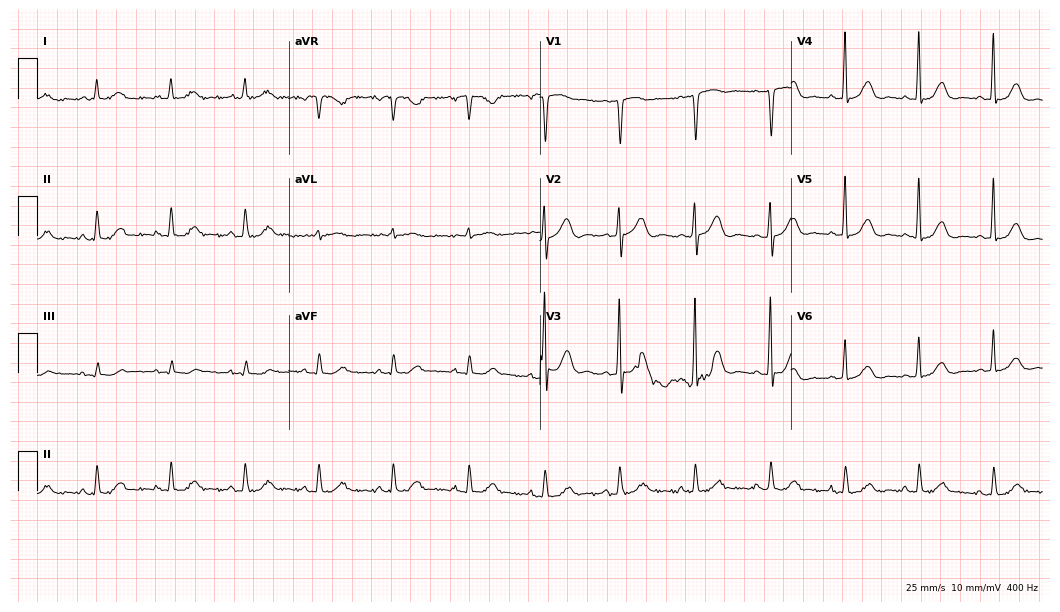
Standard 12-lead ECG recorded from a 73-year-old woman. Read as a normal ECG.